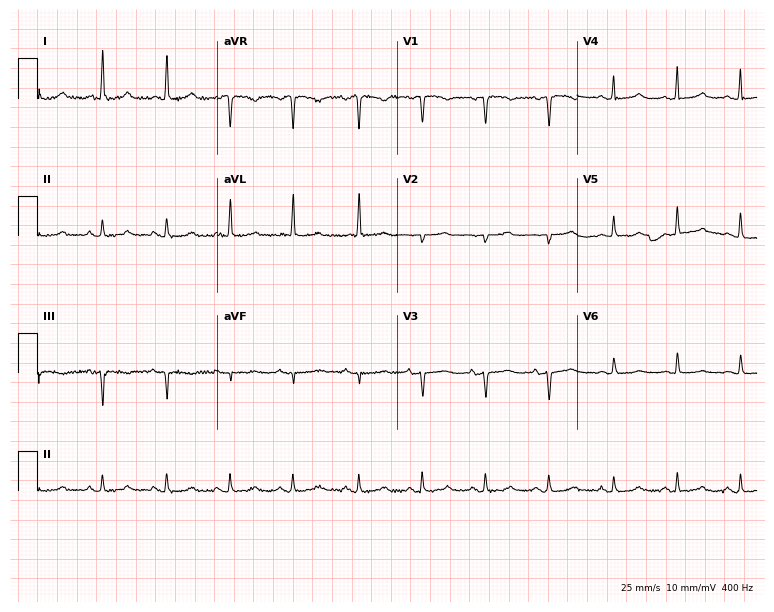
Electrocardiogram, a female, 75 years old. Of the six screened findings (first-degree AV block, right bundle branch block, left bundle branch block, sinus bradycardia, atrial fibrillation, sinus tachycardia), none is recorded. Findings outside these six are not listed.